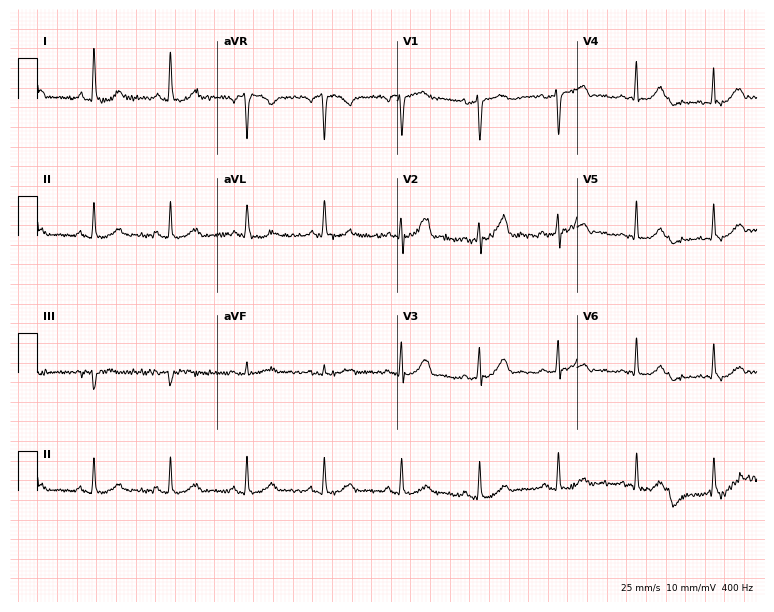
Electrocardiogram, a 36-year-old woman. Of the six screened findings (first-degree AV block, right bundle branch block, left bundle branch block, sinus bradycardia, atrial fibrillation, sinus tachycardia), none is recorded. Only these six findings were labelled.